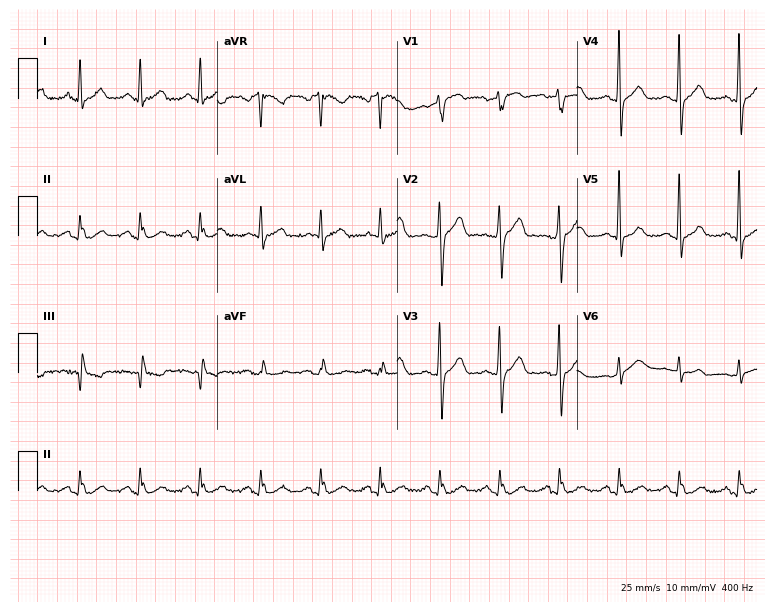
Resting 12-lead electrocardiogram. Patient: a 61-year-old male. Read as a normal ECG.